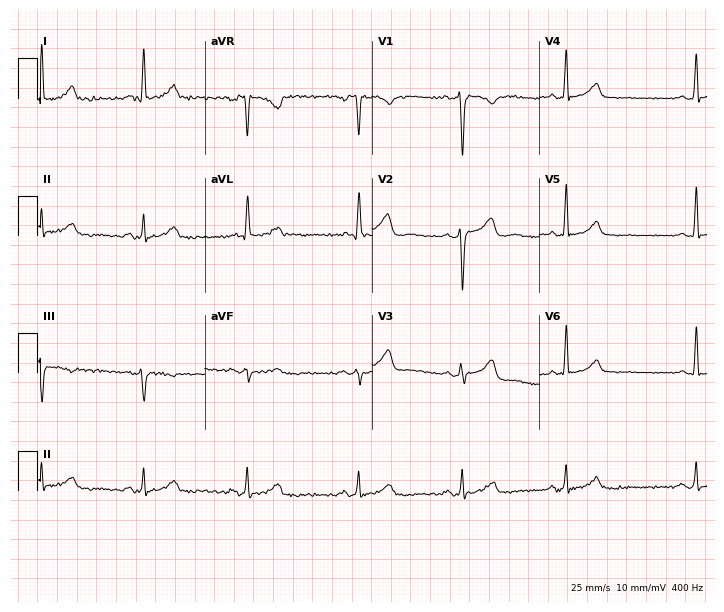
Electrocardiogram (6.8-second recording at 400 Hz), a 47-year-old female patient. Of the six screened findings (first-degree AV block, right bundle branch block (RBBB), left bundle branch block (LBBB), sinus bradycardia, atrial fibrillation (AF), sinus tachycardia), none is recorded.